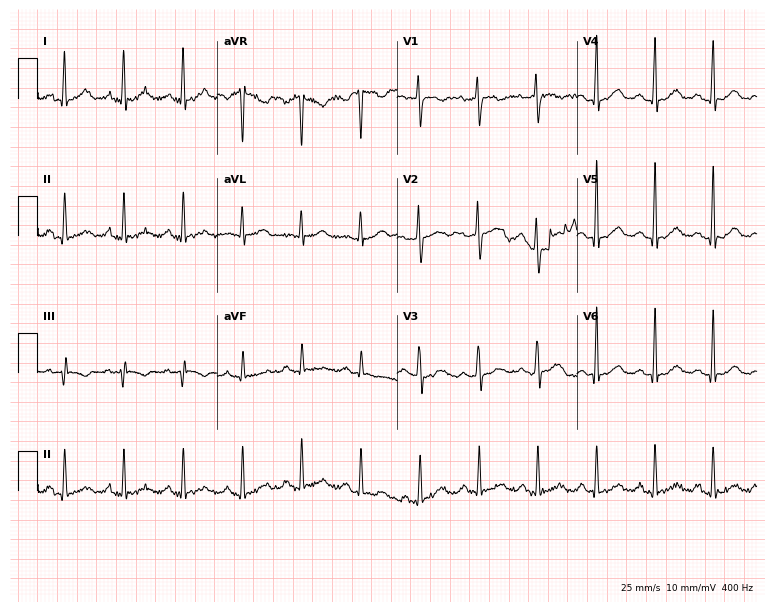
12-lead ECG from a female, 33 years old (7.3-second recording at 400 Hz). Shows sinus tachycardia (a sinus rate of 100 beats per minute or more).